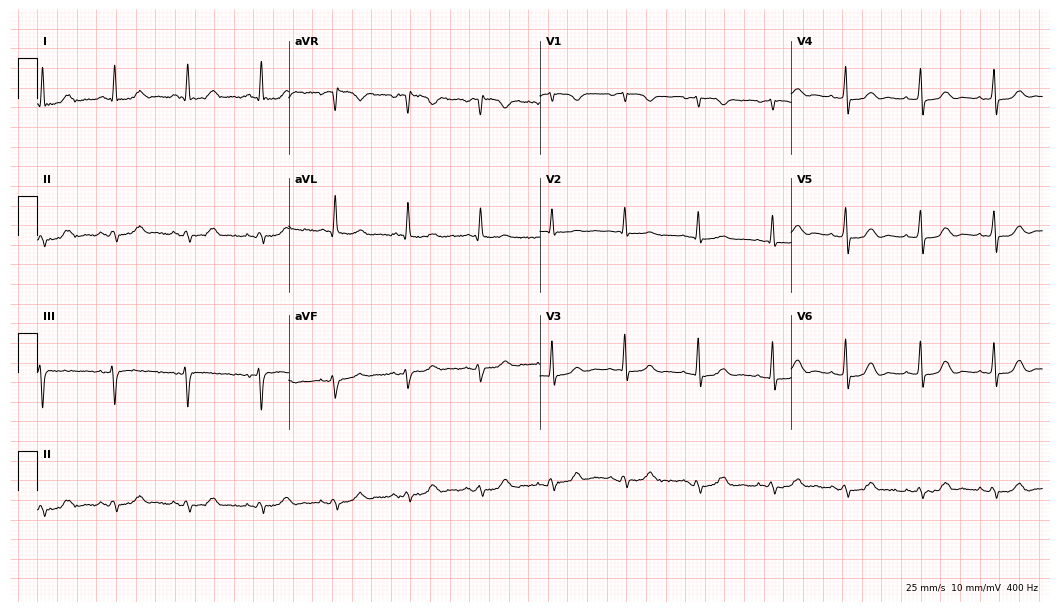
Resting 12-lead electrocardiogram. Patient: a 79-year-old female. None of these six findings is recorded: first-degree AV block, right bundle branch block (RBBB), left bundle branch block (LBBB), sinus bradycardia, atrial fibrillation (AF), sinus tachycardia.